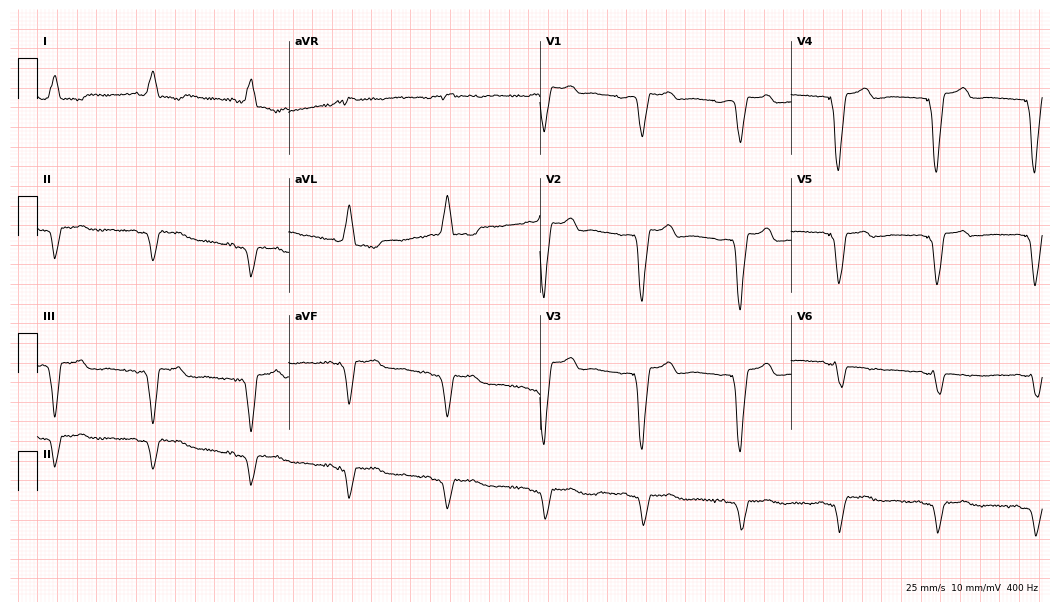
12-lead ECG from a female patient, 75 years old (10.2-second recording at 400 Hz). No first-degree AV block, right bundle branch block, left bundle branch block, sinus bradycardia, atrial fibrillation or sinus tachycardia recorded for this tracing.